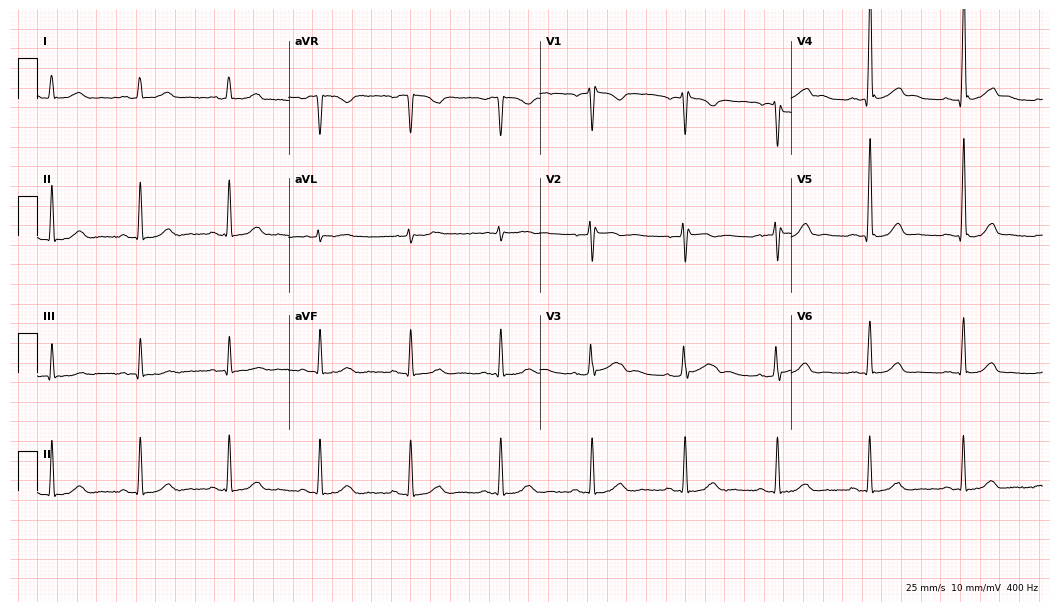
12-lead ECG from a male patient, 56 years old. No first-degree AV block, right bundle branch block (RBBB), left bundle branch block (LBBB), sinus bradycardia, atrial fibrillation (AF) or sinus tachycardia recorded for this tracing.